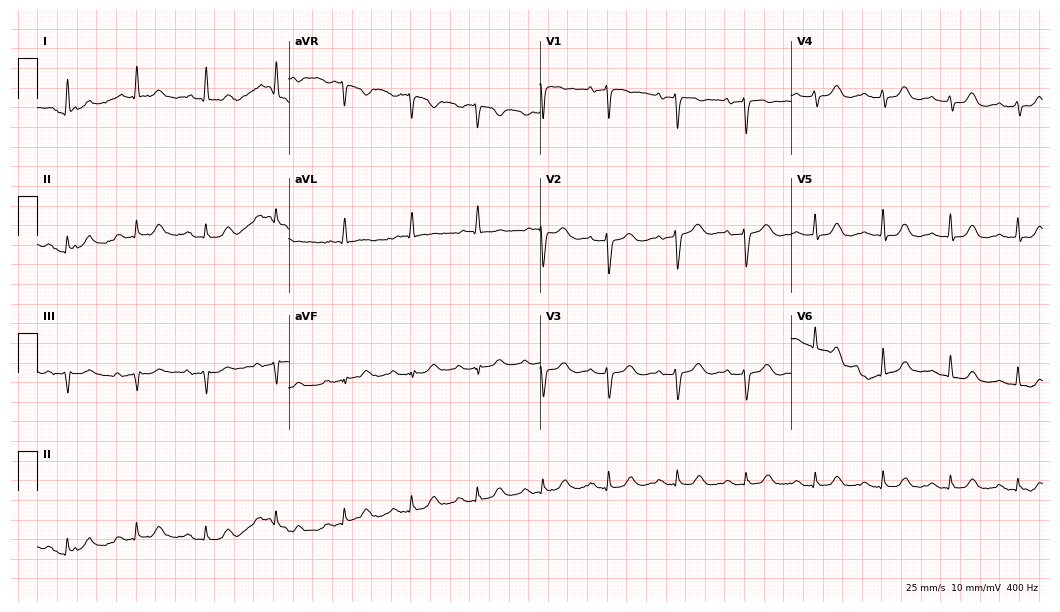
12-lead ECG from an 84-year-old female patient (10.2-second recording at 400 Hz). Recorded interpretation: within normal limits.